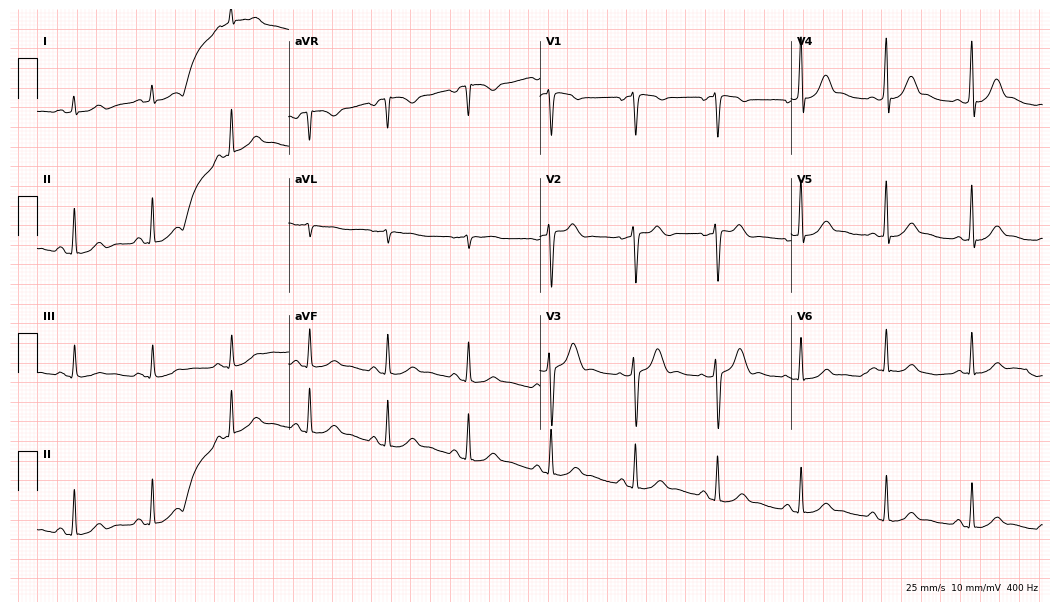
12-lead ECG from a 33-year-old woman. Labelled as a normal ECG.